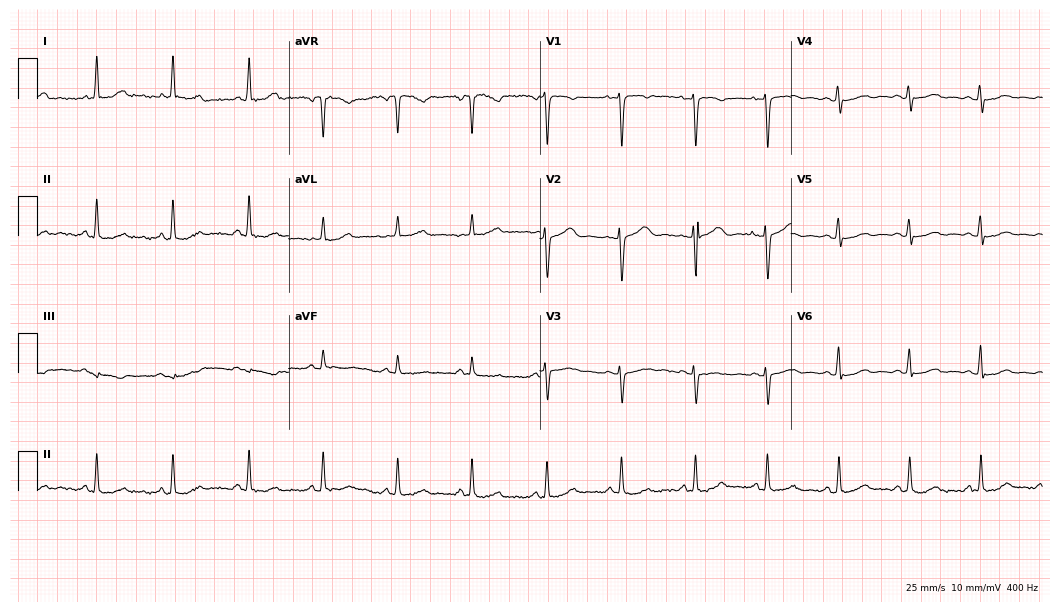
12-lead ECG from a 46-year-old female. Screened for six findings — first-degree AV block, right bundle branch block, left bundle branch block, sinus bradycardia, atrial fibrillation, sinus tachycardia — none is recorded. Other findings, if any, are not listed.